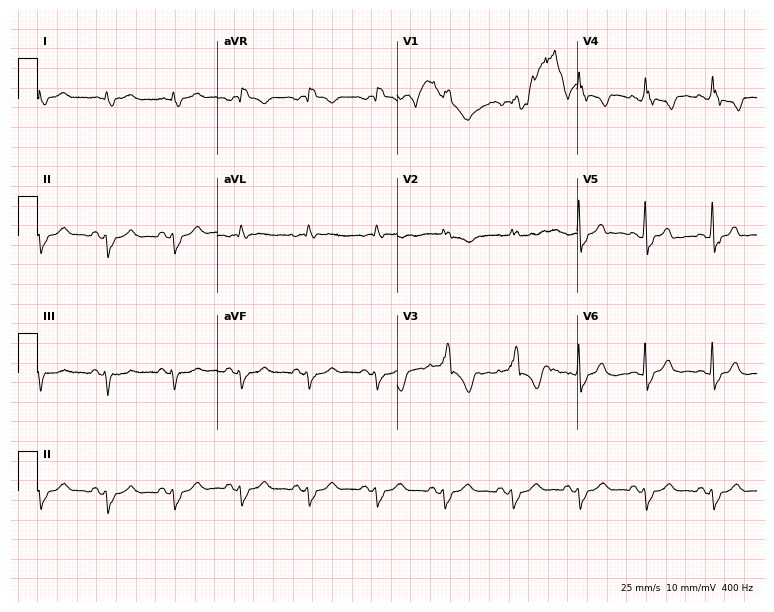
Electrocardiogram (7.3-second recording at 400 Hz), a male, 68 years old. Interpretation includes right bundle branch block (RBBB).